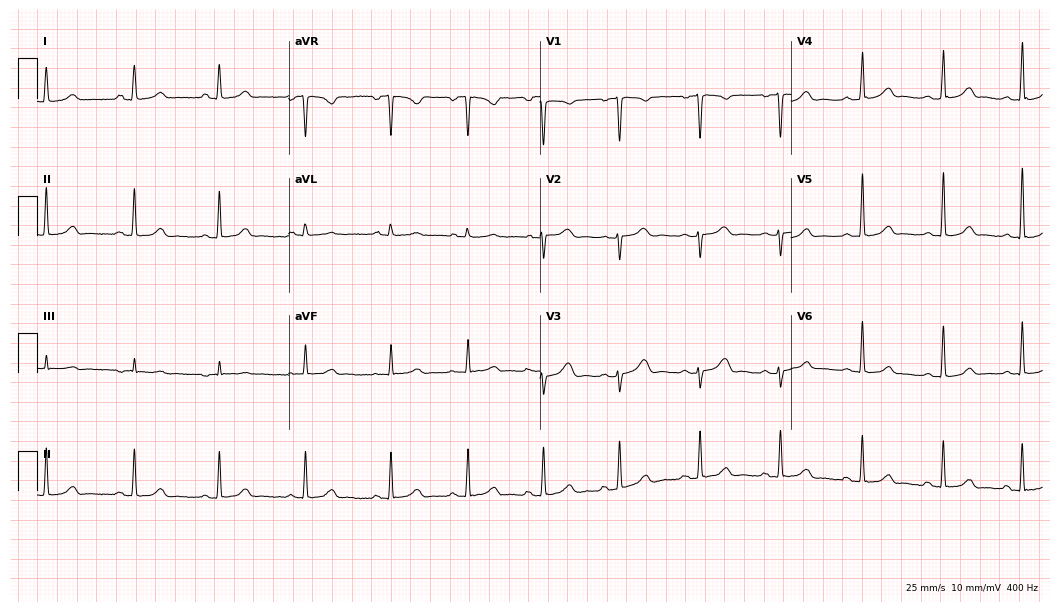
12-lead ECG from a 28-year-old female patient. Labelled as a normal ECG.